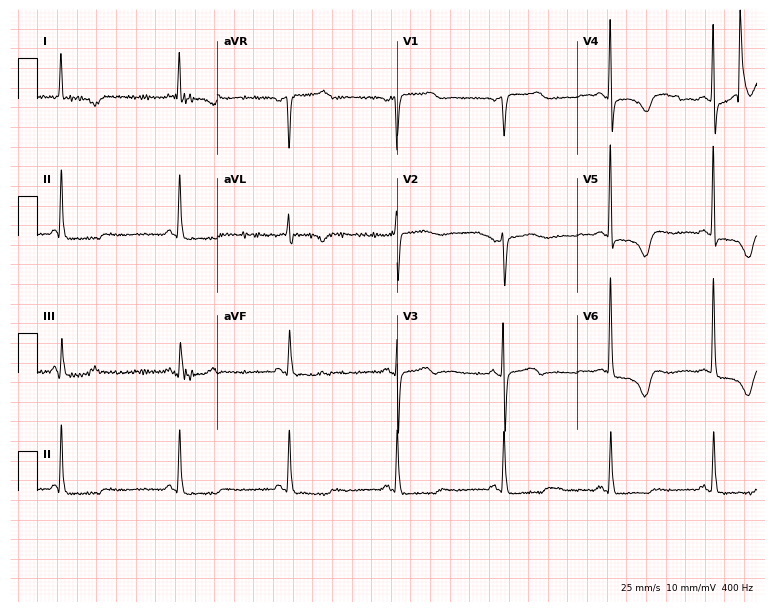
Resting 12-lead electrocardiogram. Patient: a woman, 70 years old. None of these six findings is recorded: first-degree AV block, right bundle branch block, left bundle branch block, sinus bradycardia, atrial fibrillation, sinus tachycardia.